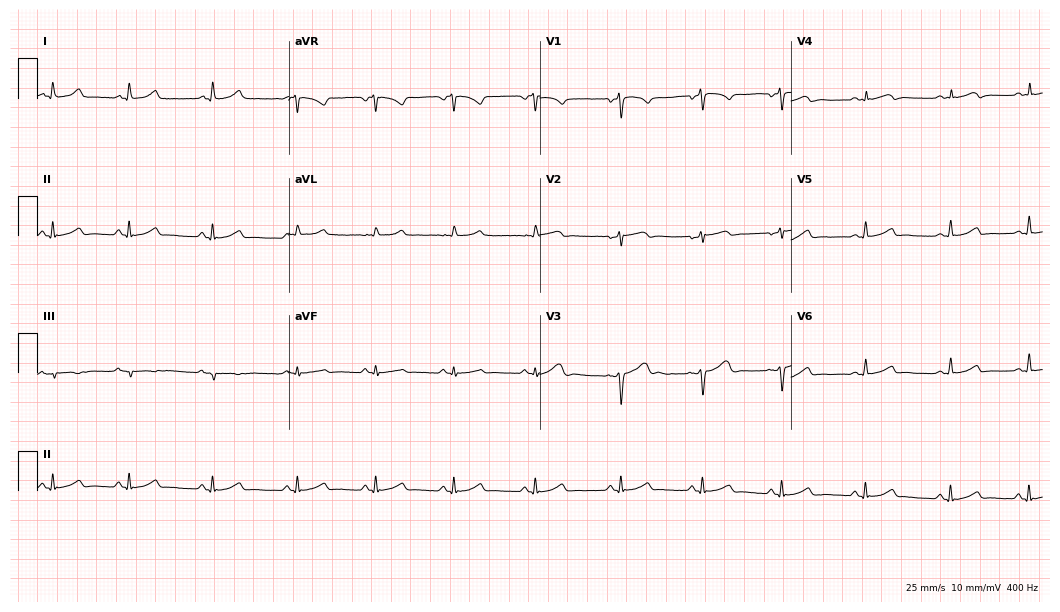
ECG (10.2-second recording at 400 Hz) — a female, 38 years old. Labelled as a normal ECG.